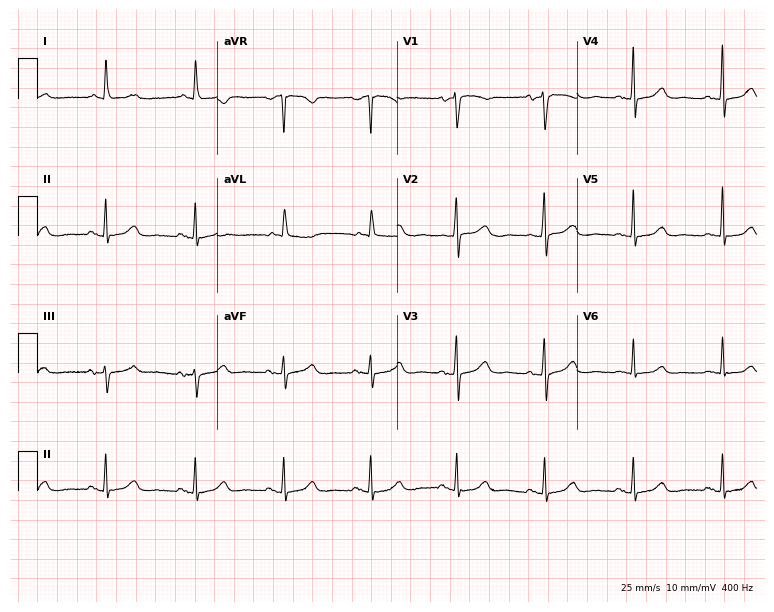
Electrocardiogram (7.3-second recording at 400 Hz), a female patient, 80 years old. Overall reading on record: normal ECG.